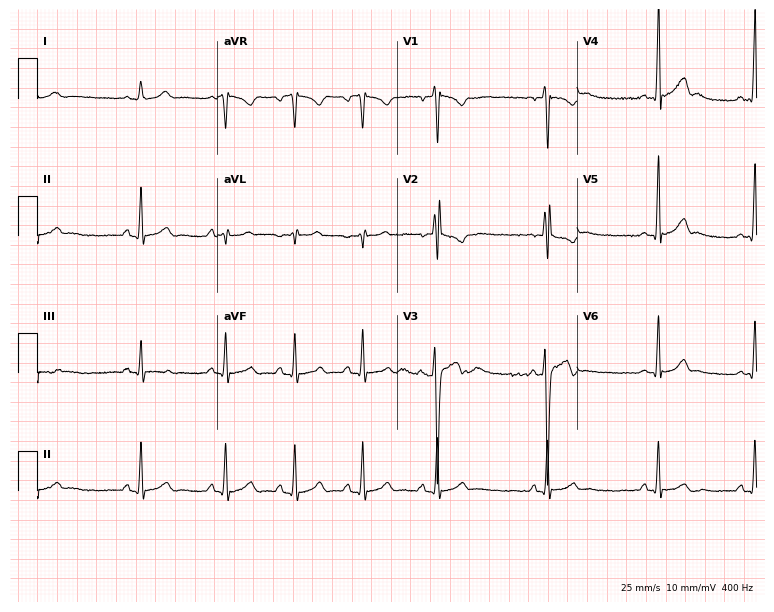
12-lead ECG from a 17-year-old male (7.3-second recording at 400 Hz). Recorded interpretation: within normal limits.